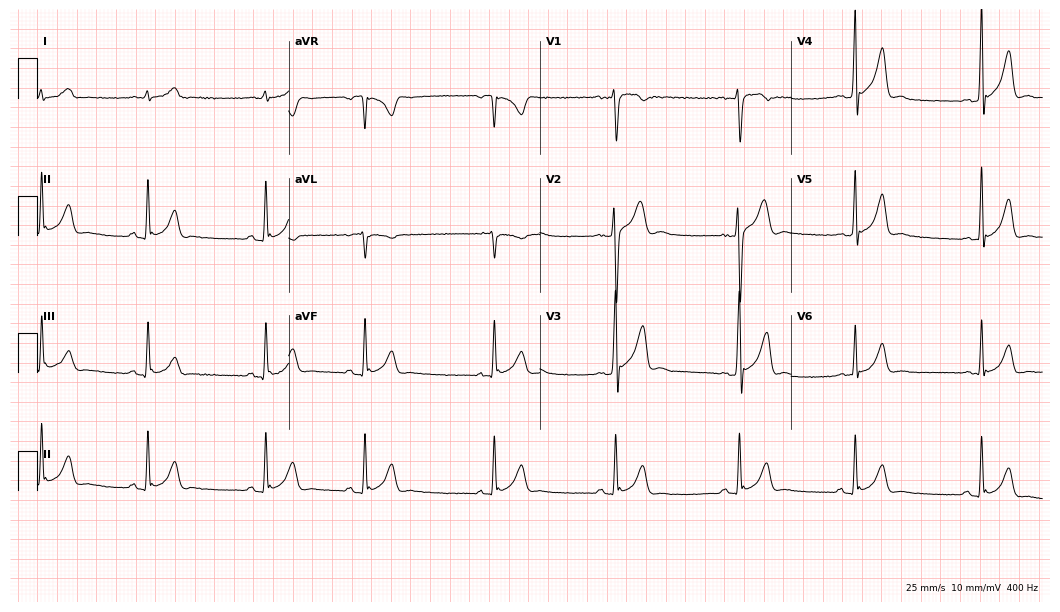
Standard 12-lead ECG recorded from a 21-year-old male patient. Read as a normal ECG.